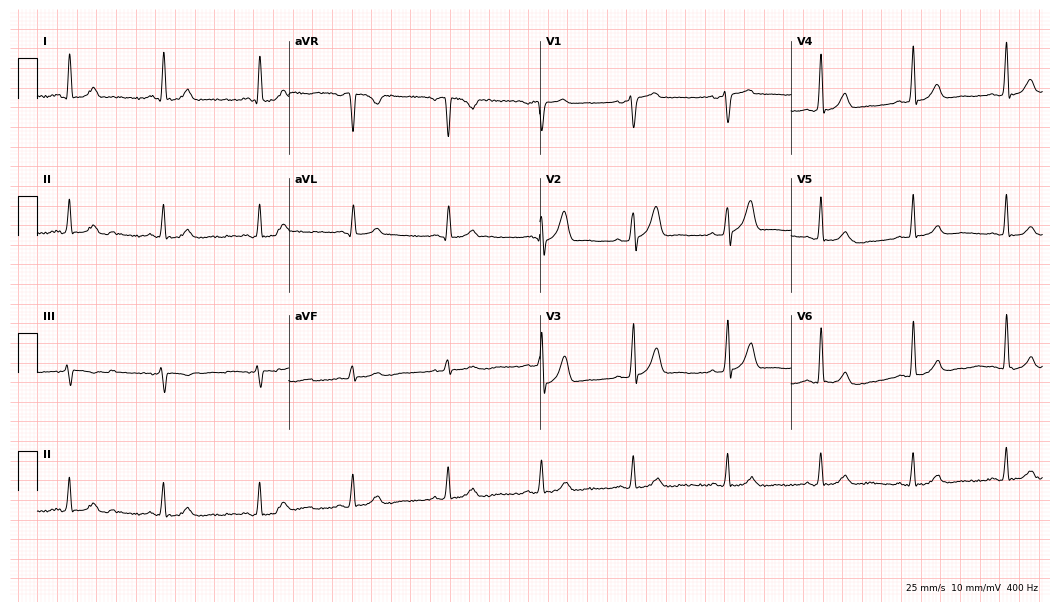
ECG — a male patient, 52 years old. Labelled as a normal ECG.